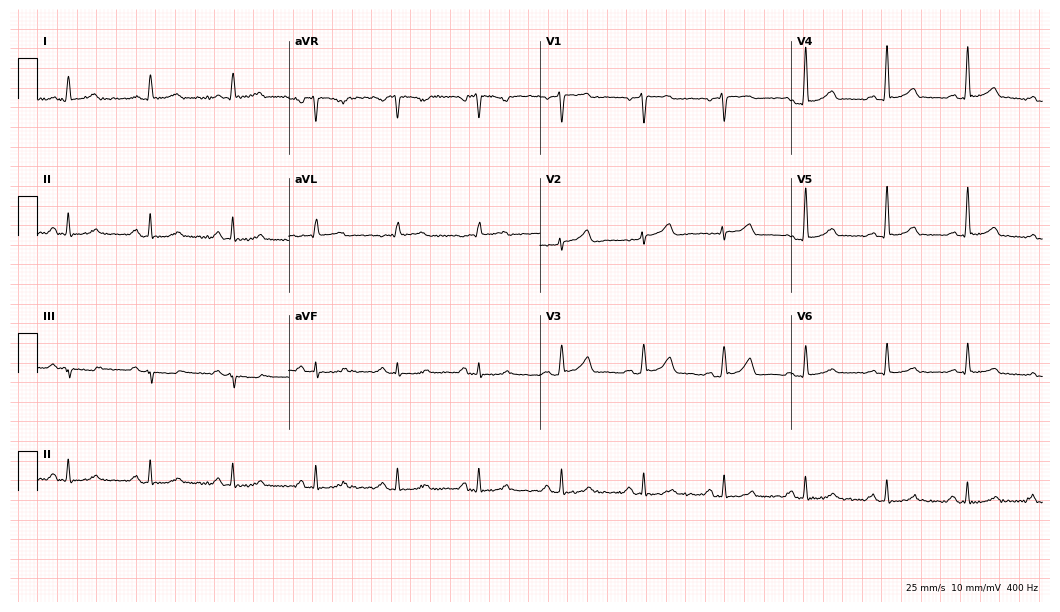
Standard 12-lead ECG recorded from a 58-year-old female (10.2-second recording at 400 Hz). None of these six findings is recorded: first-degree AV block, right bundle branch block, left bundle branch block, sinus bradycardia, atrial fibrillation, sinus tachycardia. Other findings, if any, are not listed.